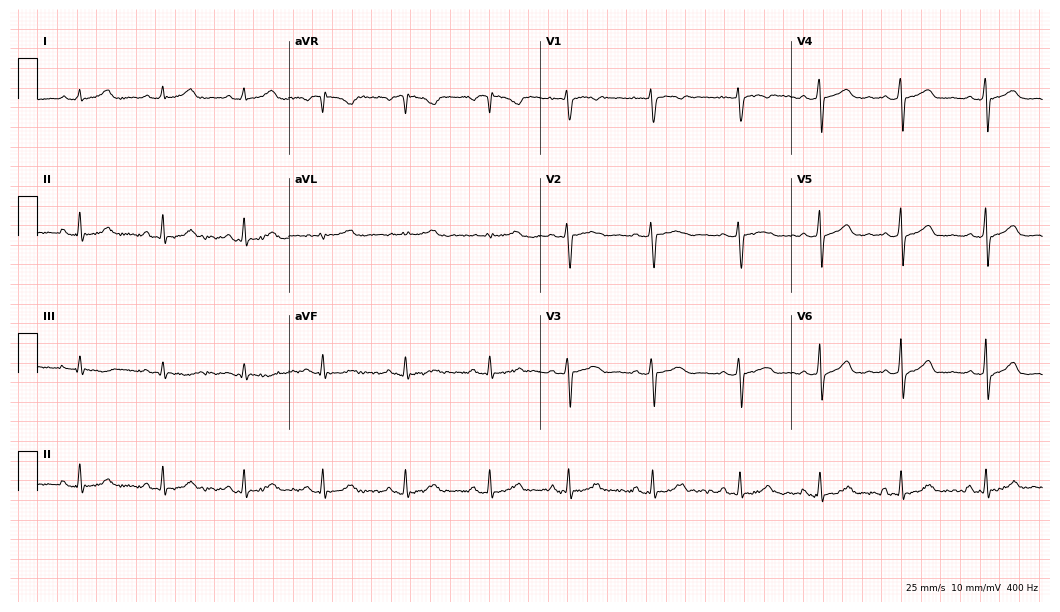
Resting 12-lead electrocardiogram. Patient: a 33-year-old female. Read as a normal ECG.